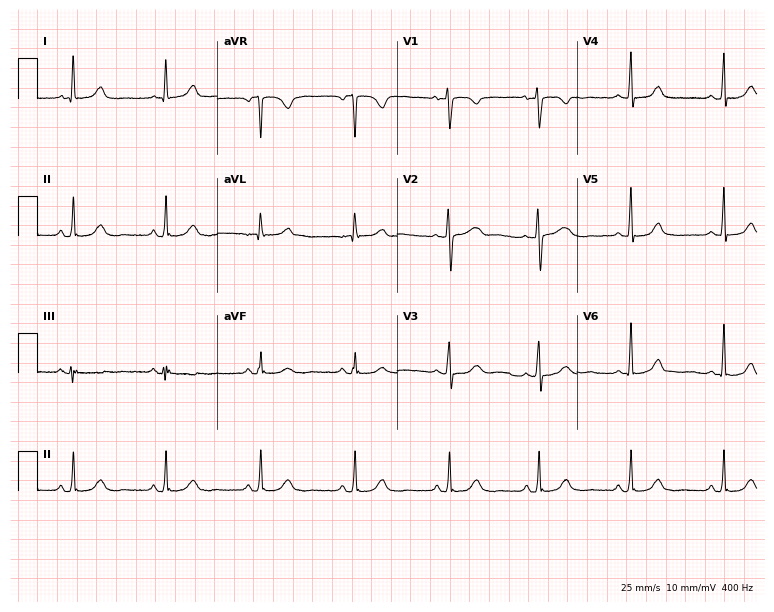
12-lead ECG (7.3-second recording at 400 Hz) from a female, 54 years old. Labelled as a normal ECG.